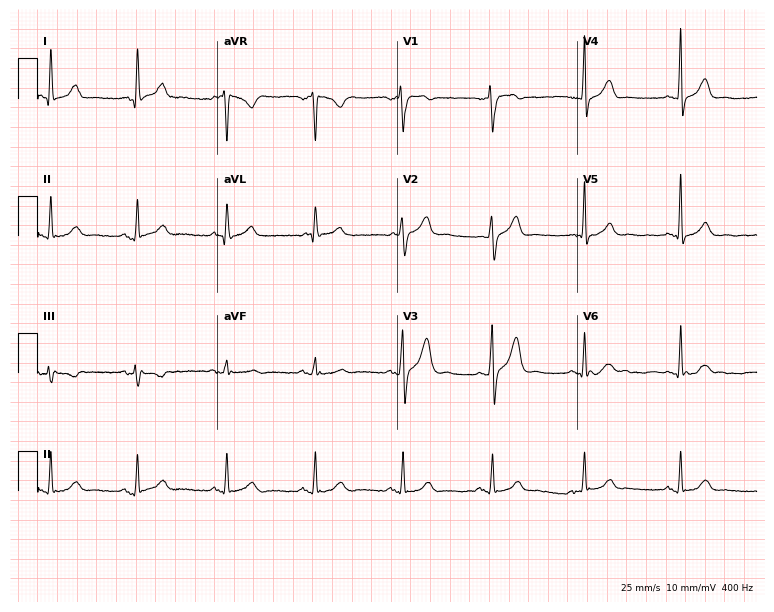
ECG (7.3-second recording at 400 Hz) — a 57-year-old male. Screened for six findings — first-degree AV block, right bundle branch block (RBBB), left bundle branch block (LBBB), sinus bradycardia, atrial fibrillation (AF), sinus tachycardia — none is recorded.